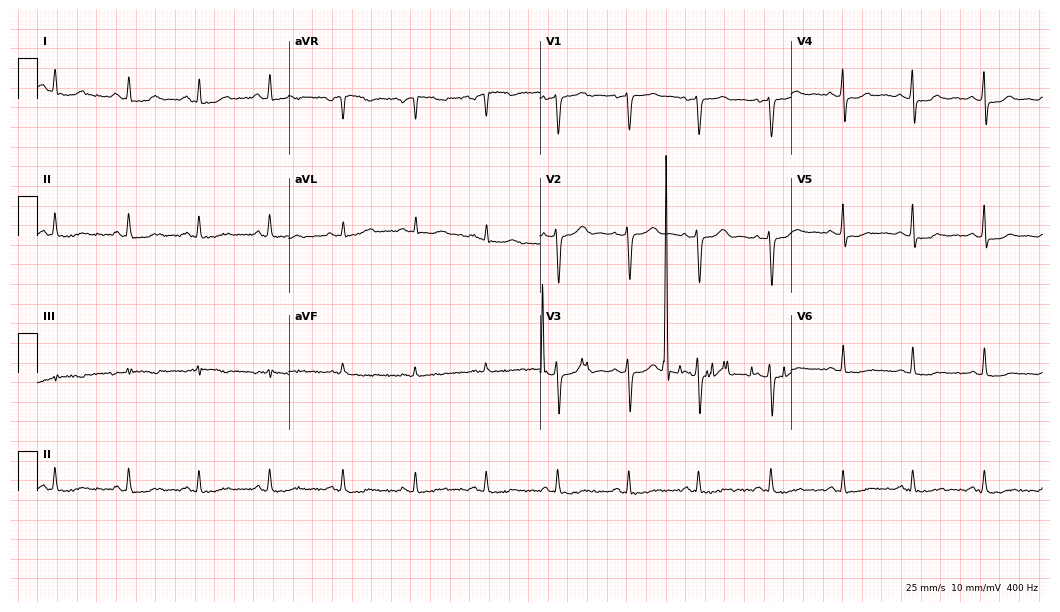
12-lead ECG from a 47-year-old woman. Screened for six findings — first-degree AV block, right bundle branch block, left bundle branch block, sinus bradycardia, atrial fibrillation, sinus tachycardia — none is recorded. Only these six findings were labelled.